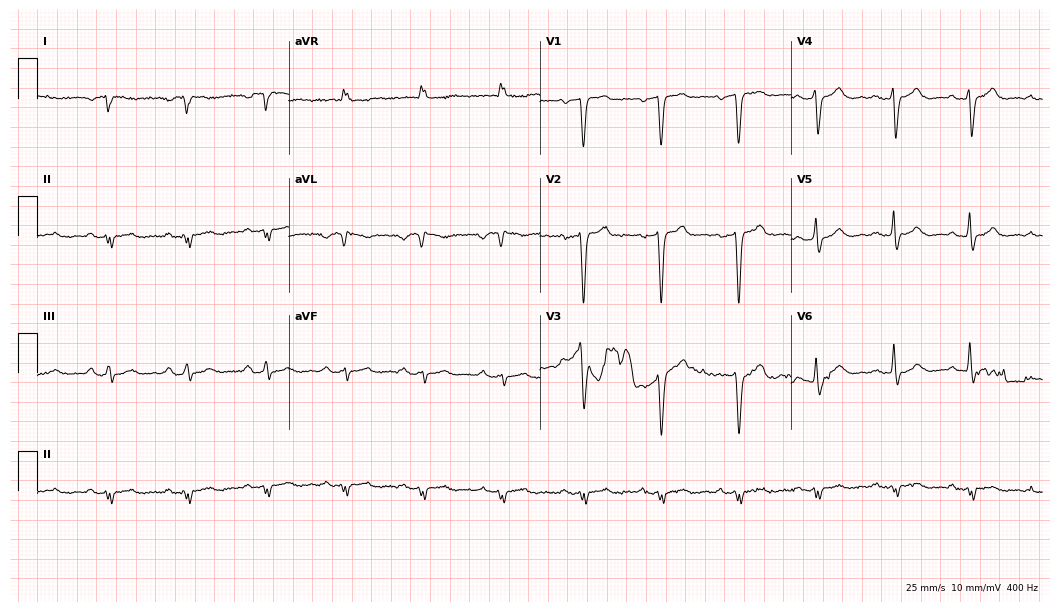
Electrocardiogram, a 40-year-old male patient. Of the six screened findings (first-degree AV block, right bundle branch block, left bundle branch block, sinus bradycardia, atrial fibrillation, sinus tachycardia), none is recorded. Other findings, if any, are not listed.